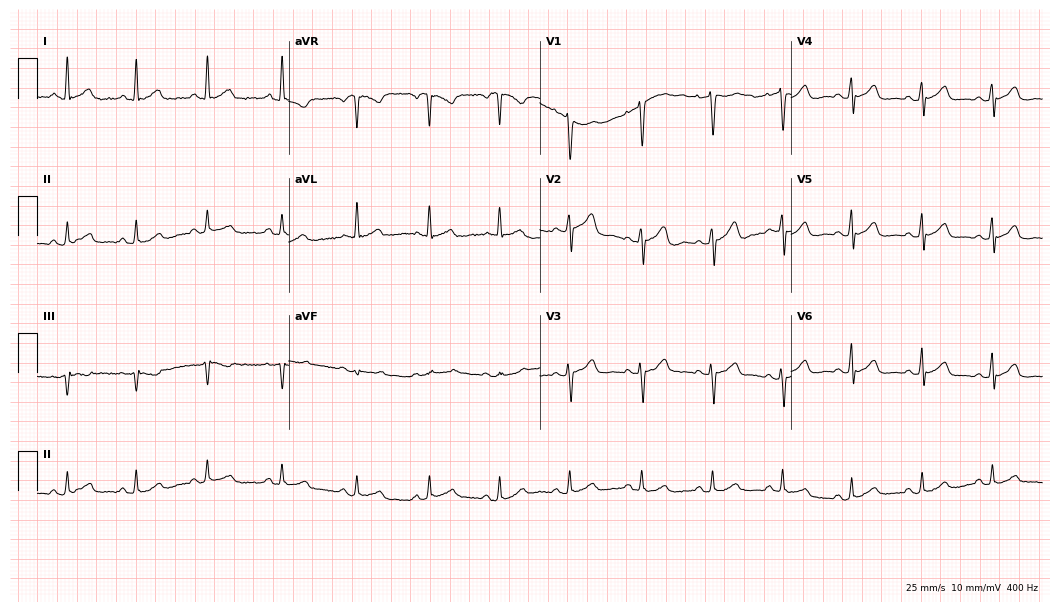
Electrocardiogram (10.2-second recording at 400 Hz), a 56-year-old woman. Overall reading on record: normal ECG.